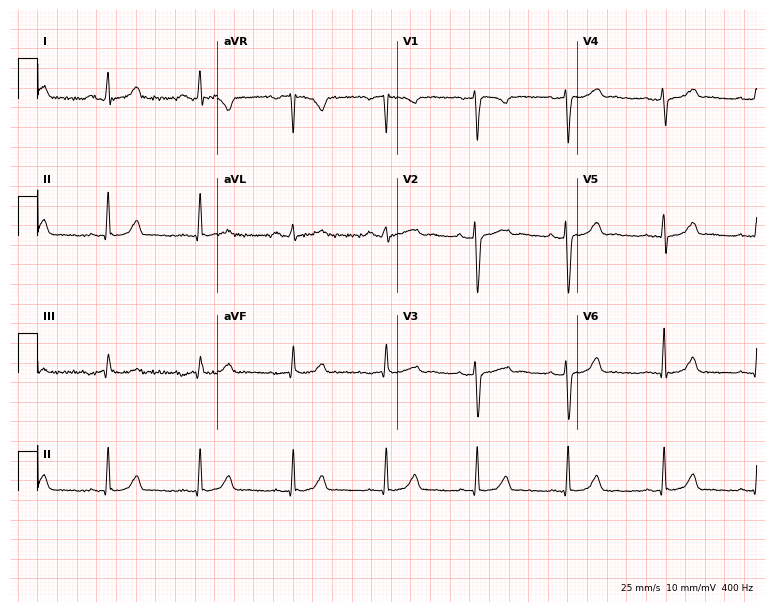
12-lead ECG (7.3-second recording at 400 Hz) from a 37-year-old woman. Labelled as a normal ECG.